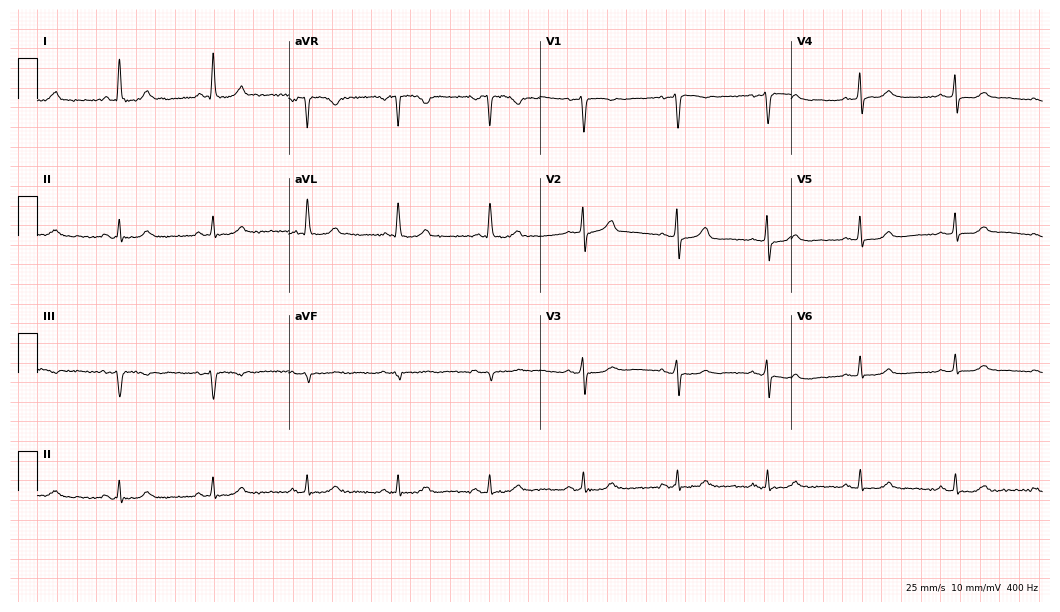
Electrocardiogram (10.2-second recording at 400 Hz), a female patient, 75 years old. Overall reading on record: normal ECG.